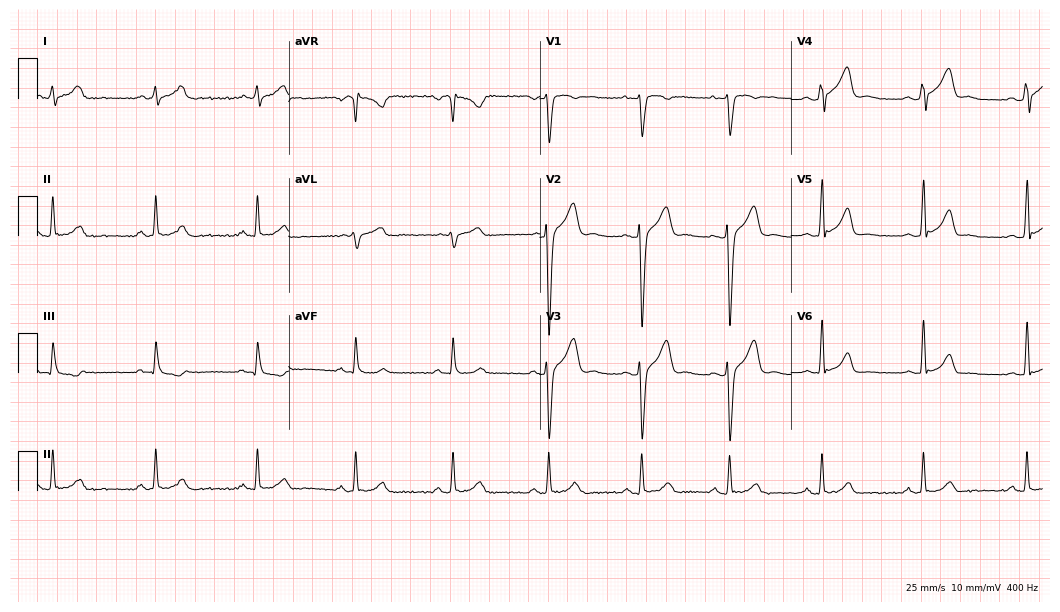
12-lead ECG from a male patient, 26 years old. Labelled as a normal ECG.